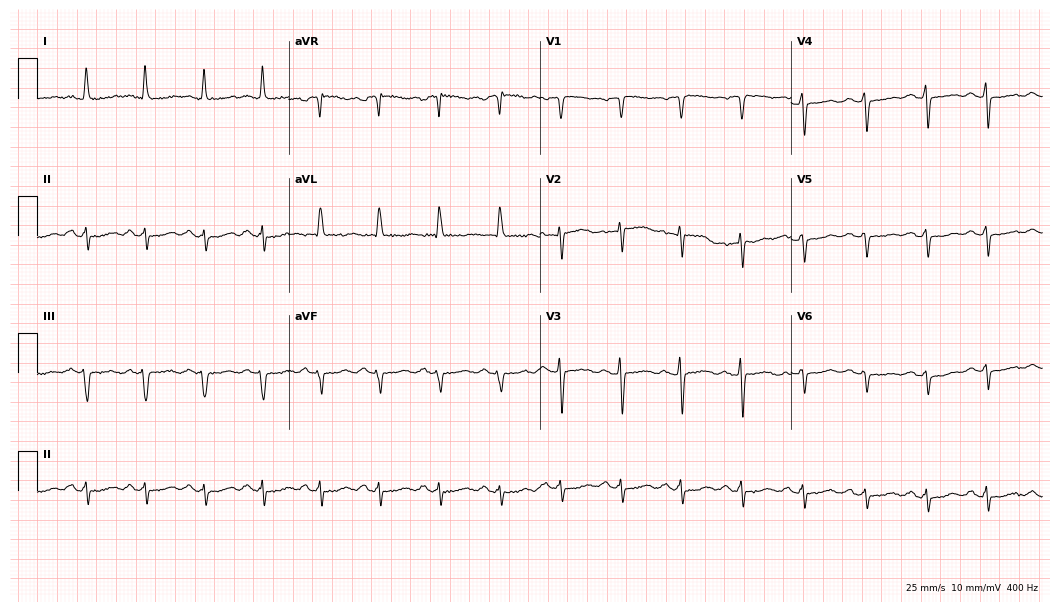
12-lead ECG (10.2-second recording at 400 Hz) from a woman, 63 years old. Screened for six findings — first-degree AV block, right bundle branch block, left bundle branch block, sinus bradycardia, atrial fibrillation, sinus tachycardia — none is recorded.